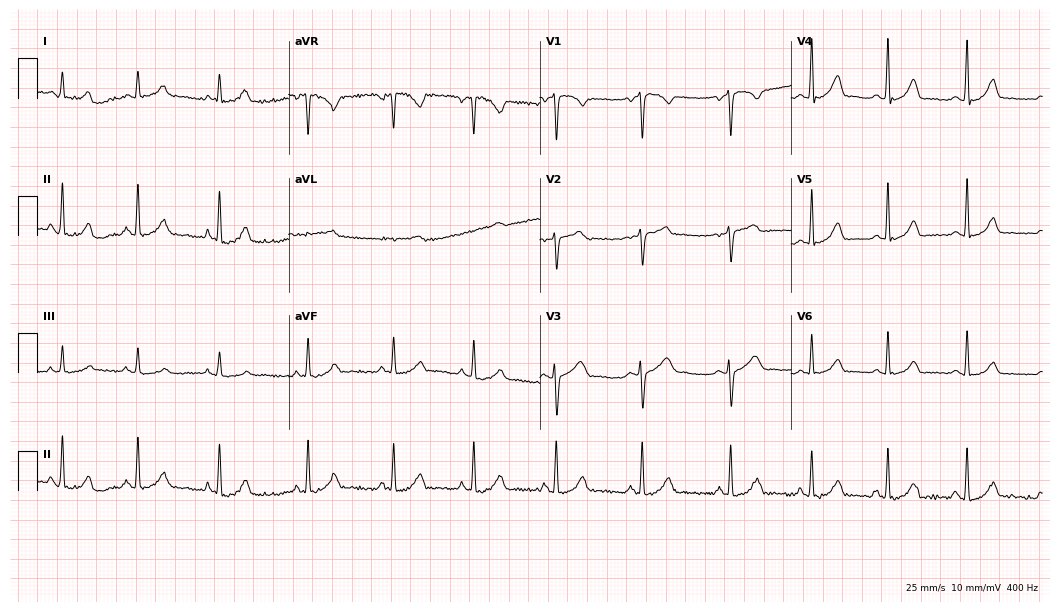
12-lead ECG from a female, 40 years old (10.2-second recording at 400 Hz). Recorded interpretation: within normal limits.